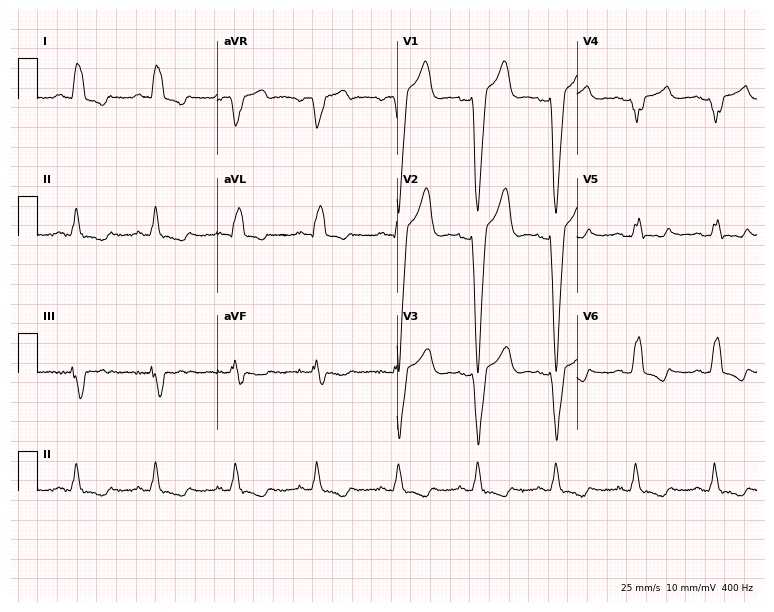
12-lead ECG from a female patient, 64 years old (7.3-second recording at 400 Hz). Shows left bundle branch block (LBBB).